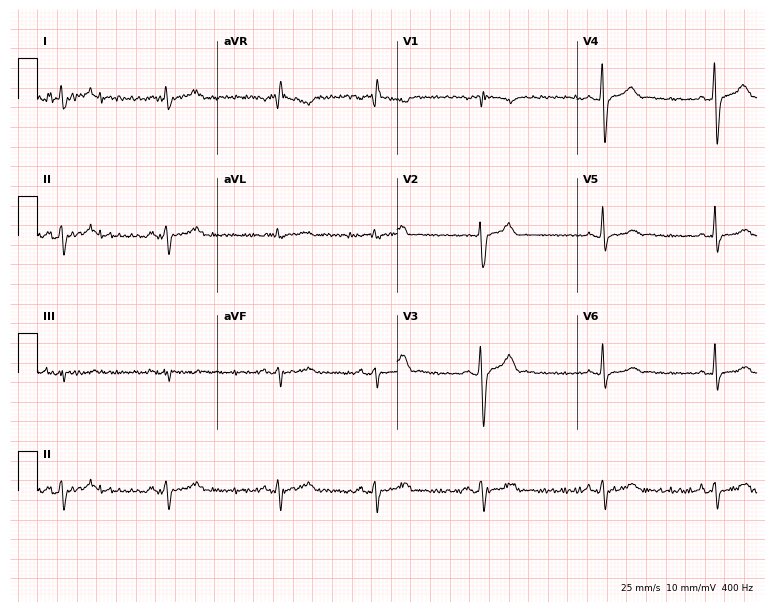
12-lead ECG from a male, 25 years old. Labelled as a normal ECG.